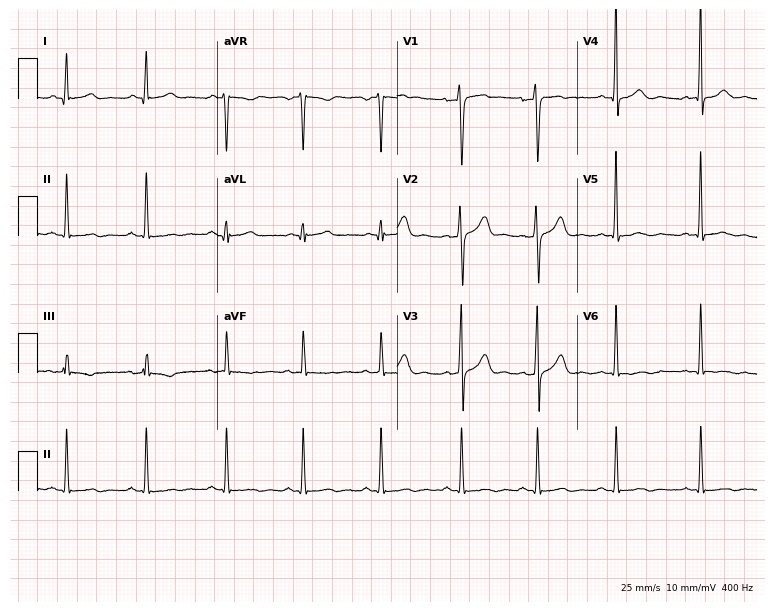
Electrocardiogram (7.3-second recording at 400 Hz), a male, 30 years old. Of the six screened findings (first-degree AV block, right bundle branch block (RBBB), left bundle branch block (LBBB), sinus bradycardia, atrial fibrillation (AF), sinus tachycardia), none is recorded.